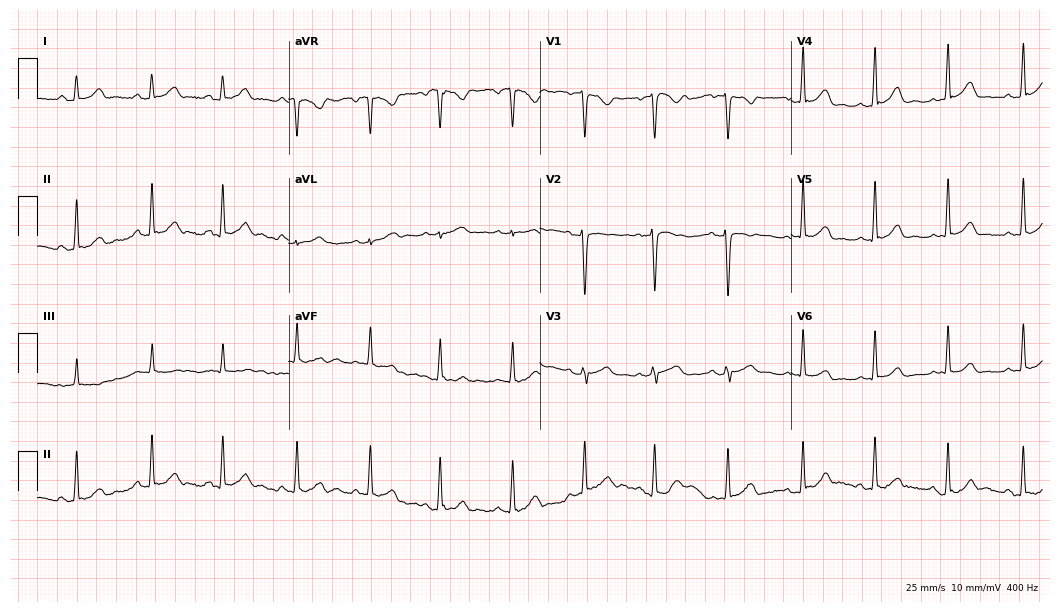
Standard 12-lead ECG recorded from a female patient, 23 years old. Read as a normal ECG.